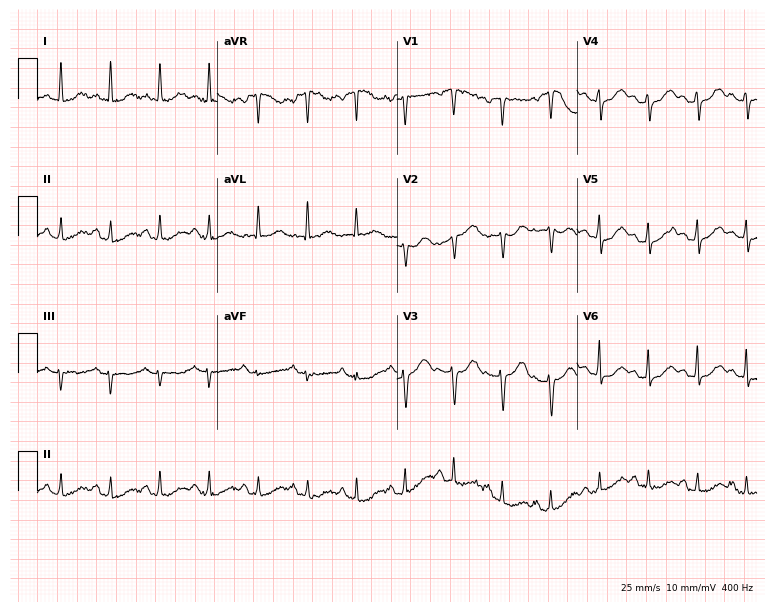
12-lead ECG from a 79-year-old female (7.3-second recording at 400 Hz). Shows sinus tachycardia (a sinus rate of 100 beats per minute or more).